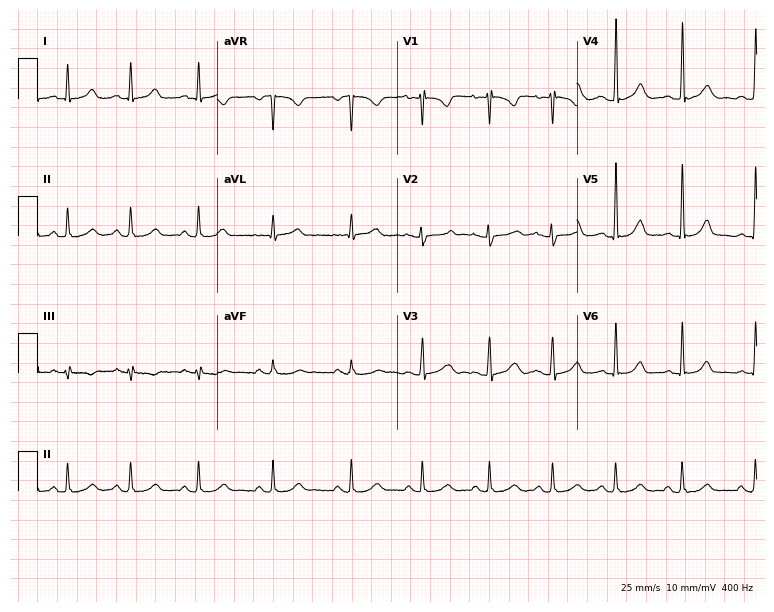
Standard 12-lead ECG recorded from a 24-year-old woman (7.3-second recording at 400 Hz). Read as a normal ECG.